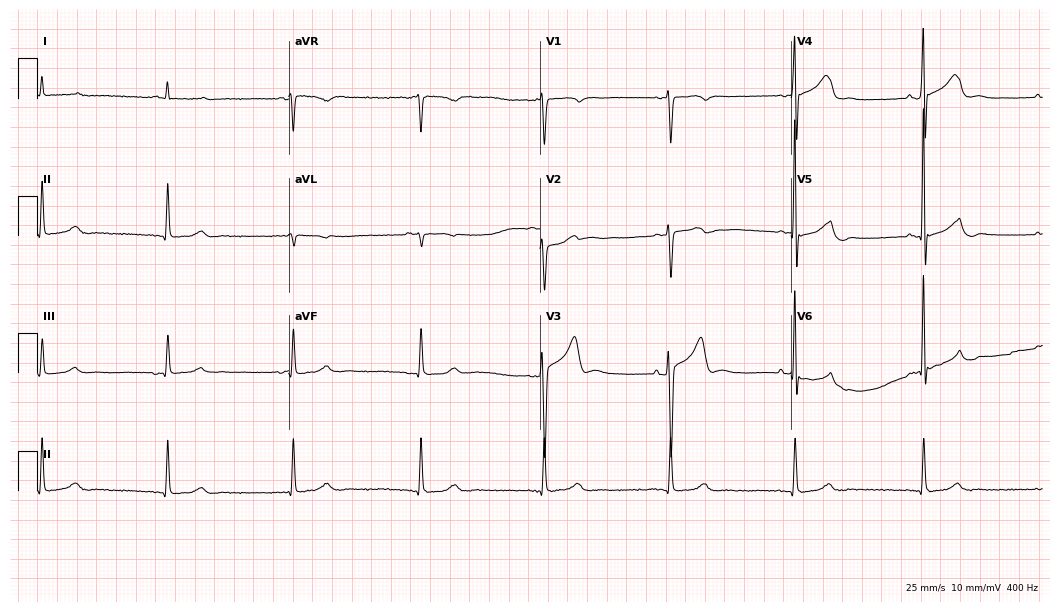
Electrocardiogram, a 56-year-old man. Of the six screened findings (first-degree AV block, right bundle branch block (RBBB), left bundle branch block (LBBB), sinus bradycardia, atrial fibrillation (AF), sinus tachycardia), none is recorded. Other findings, if any, are not listed.